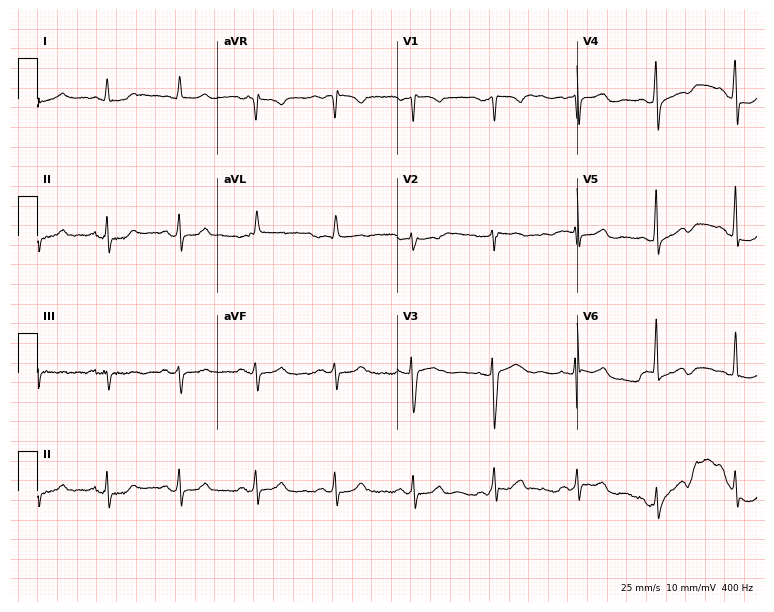
ECG (7.3-second recording at 400 Hz) — a female, 64 years old. Screened for six findings — first-degree AV block, right bundle branch block, left bundle branch block, sinus bradycardia, atrial fibrillation, sinus tachycardia — none is recorded. Only these six findings were labelled.